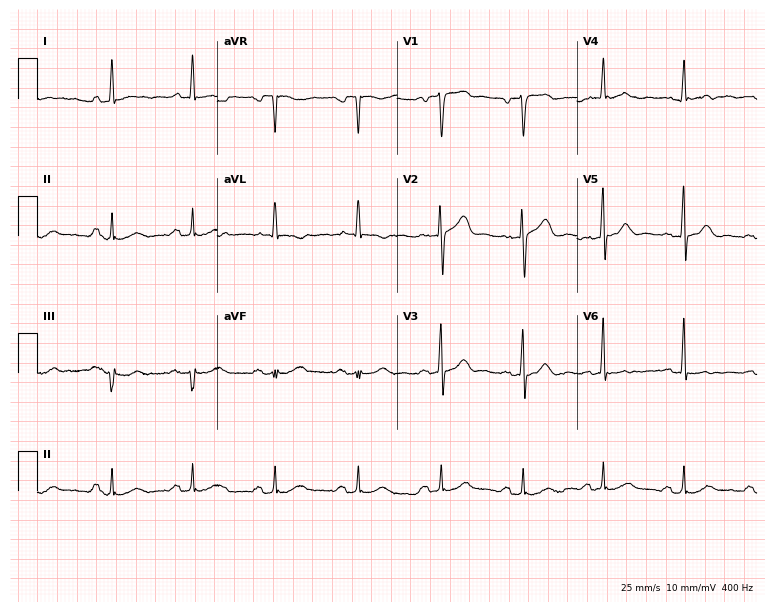
ECG (7.3-second recording at 400 Hz) — a 57-year-old male patient. Screened for six findings — first-degree AV block, right bundle branch block, left bundle branch block, sinus bradycardia, atrial fibrillation, sinus tachycardia — none is recorded.